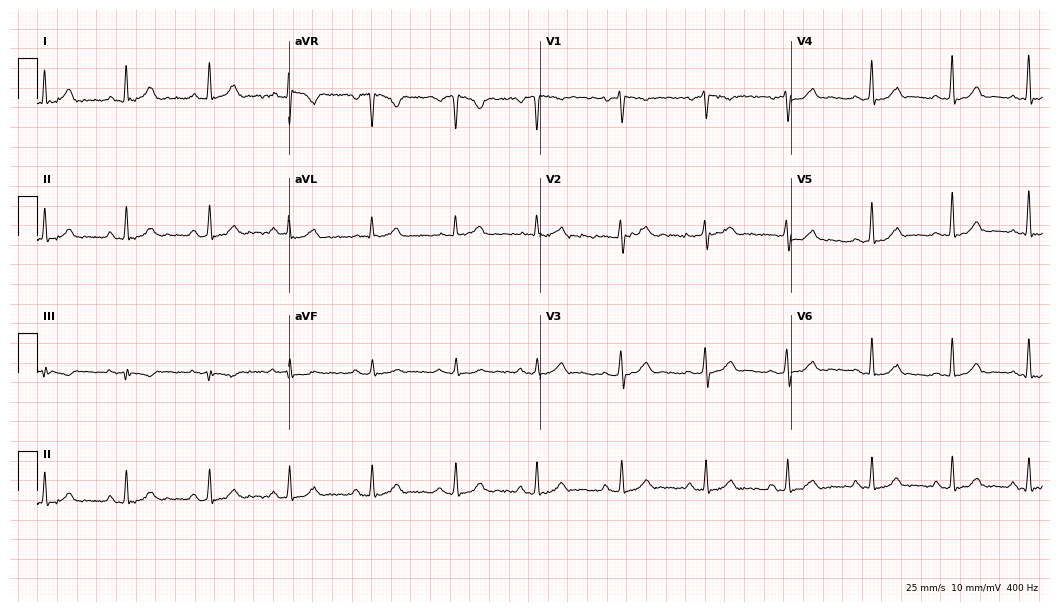
12-lead ECG (10.2-second recording at 400 Hz) from a 35-year-old woman. Labelled as a normal ECG.